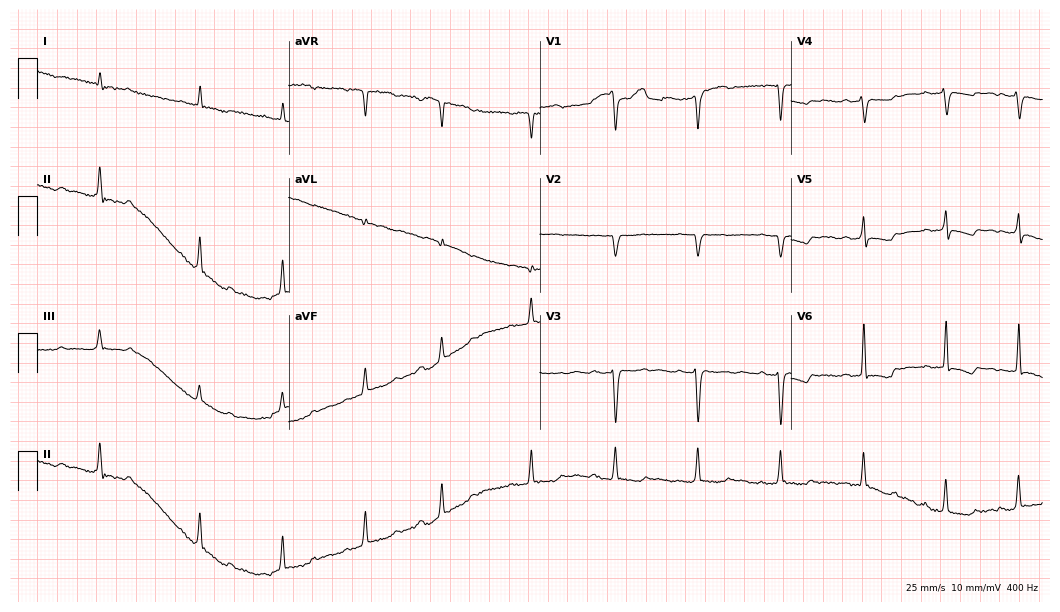
Resting 12-lead electrocardiogram (10.2-second recording at 400 Hz). Patient: a man, 81 years old. None of these six findings is recorded: first-degree AV block, right bundle branch block (RBBB), left bundle branch block (LBBB), sinus bradycardia, atrial fibrillation (AF), sinus tachycardia. Findings outside these six are not listed.